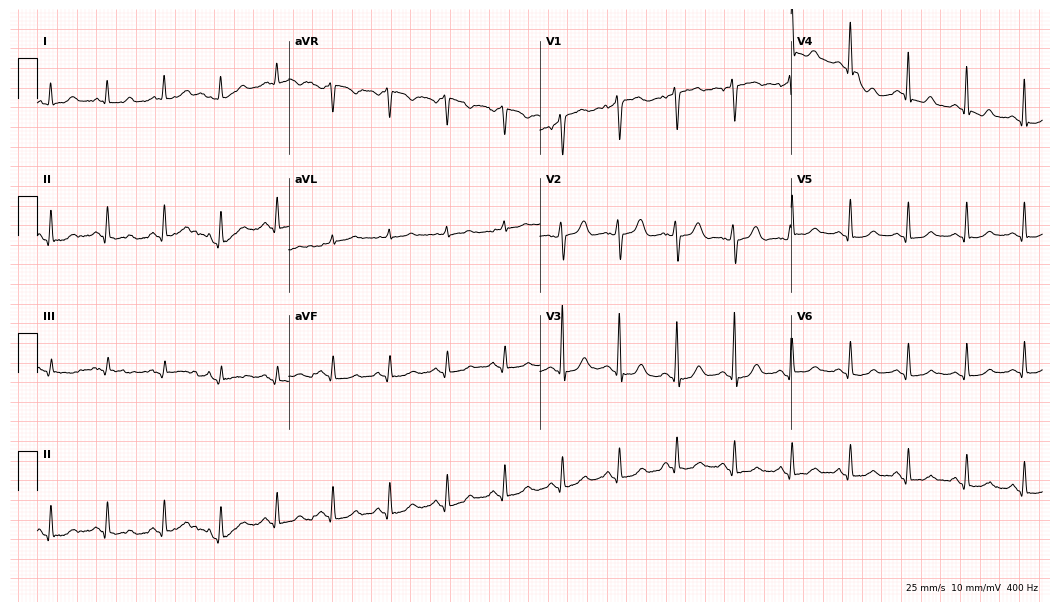
ECG (10.2-second recording at 400 Hz) — a female patient, 41 years old. Findings include sinus tachycardia (a sinus rate of 100 beats per minute or more).